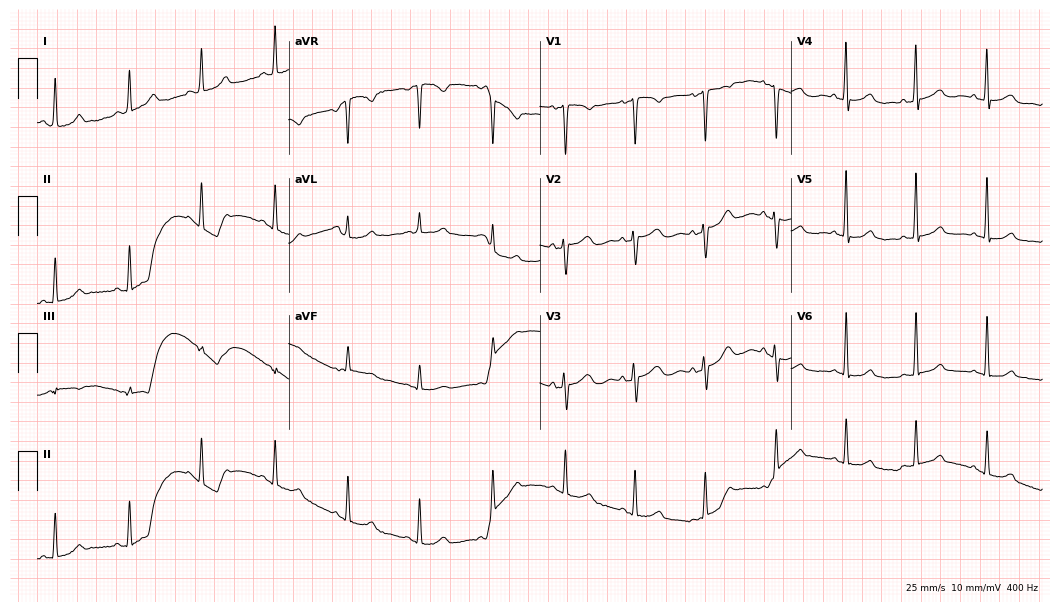
ECG (10.2-second recording at 400 Hz) — a female patient, 45 years old. Labelled as a normal ECG.